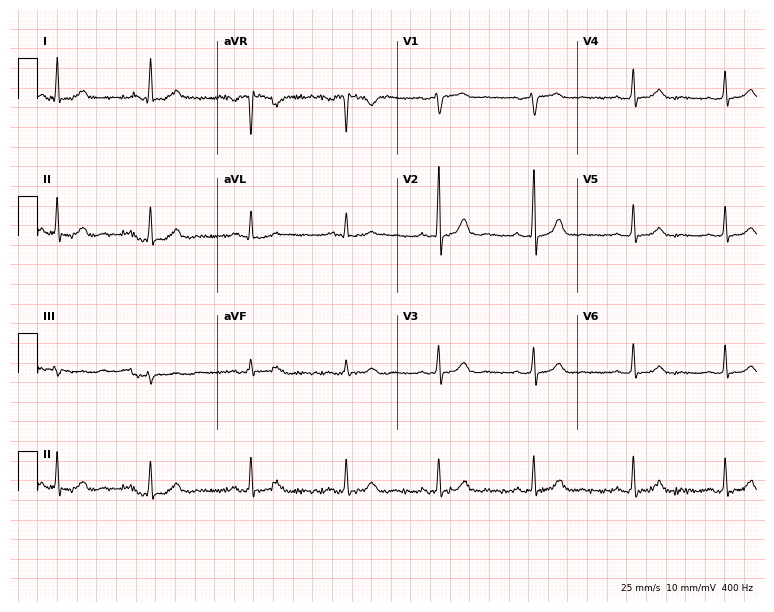
12-lead ECG from a 38-year-old man. Labelled as a normal ECG.